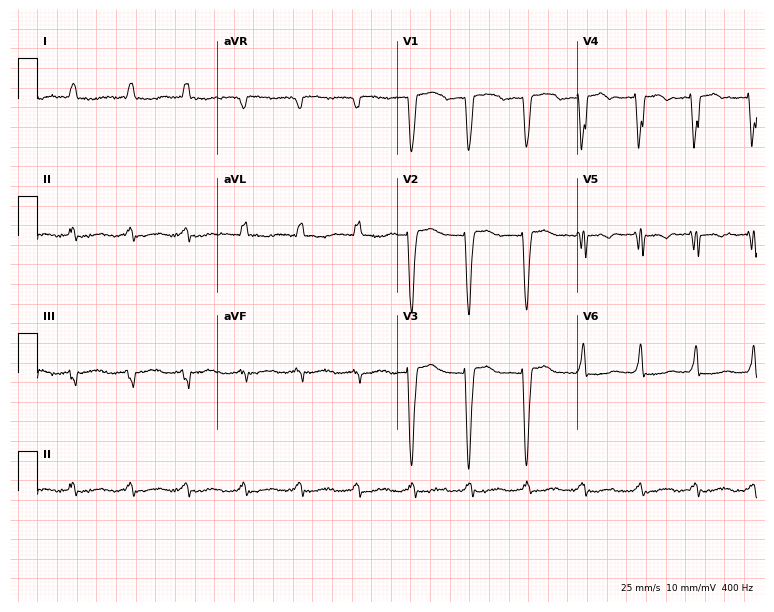
12-lead ECG from a female patient, 81 years old. Screened for six findings — first-degree AV block, right bundle branch block (RBBB), left bundle branch block (LBBB), sinus bradycardia, atrial fibrillation (AF), sinus tachycardia — none is recorded.